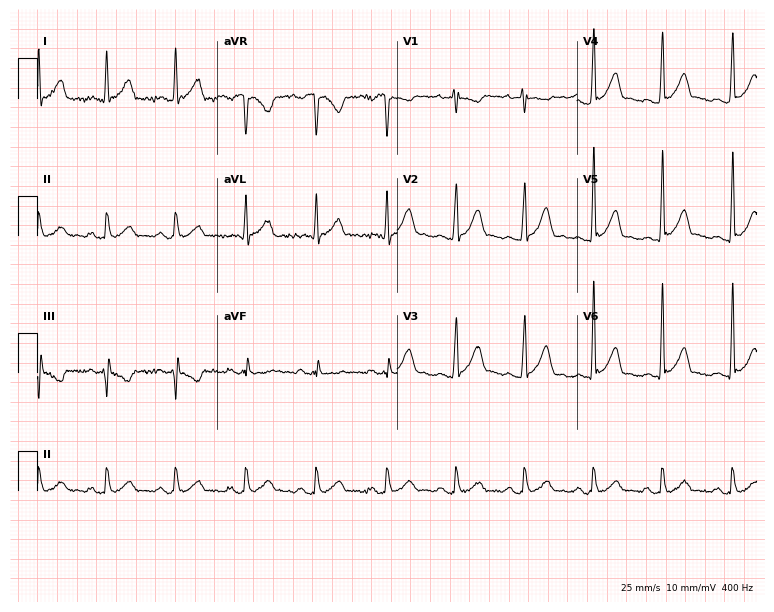
Resting 12-lead electrocardiogram. Patient: a male, 32 years old. None of these six findings is recorded: first-degree AV block, right bundle branch block (RBBB), left bundle branch block (LBBB), sinus bradycardia, atrial fibrillation (AF), sinus tachycardia.